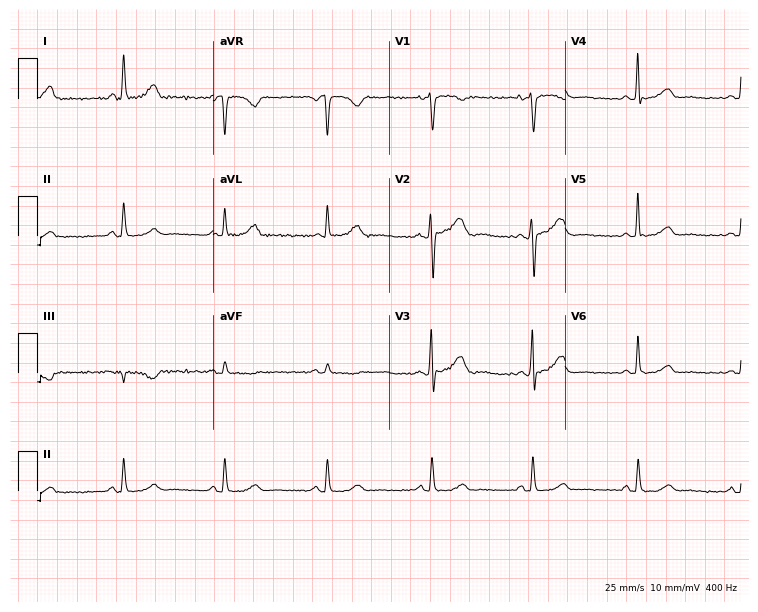
Electrocardiogram, a female, 48 years old. Of the six screened findings (first-degree AV block, right bundle branch block, left bundle branch block, sinus bradycardia, atrial fibrillation, sinus tachycardia), none is recorded.